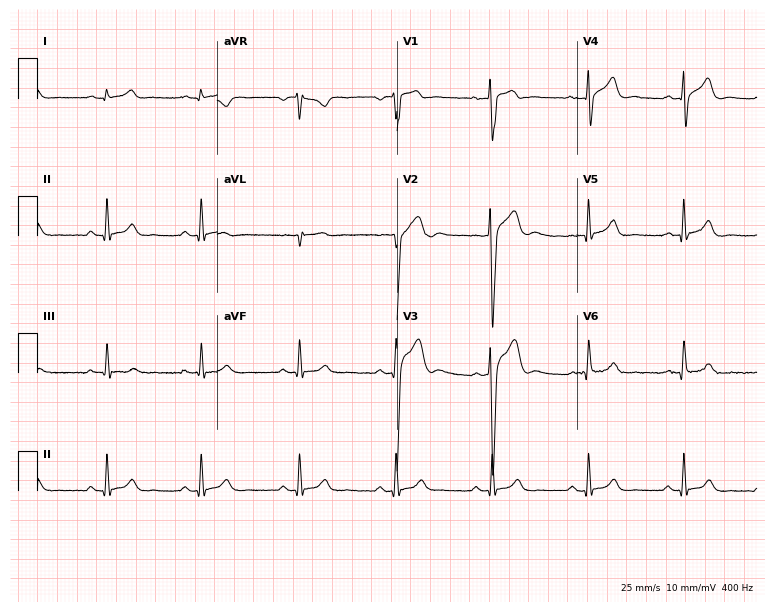
Electrocardiogram, a 29-year-old male patient. Of the six screened findings (first-degree AV block, right bundle branch block (RBBB), left bundle branch block (LBBB), sinus bradycardia, atrial fibrillation (AF), sinus tachycardia), none is recorded.